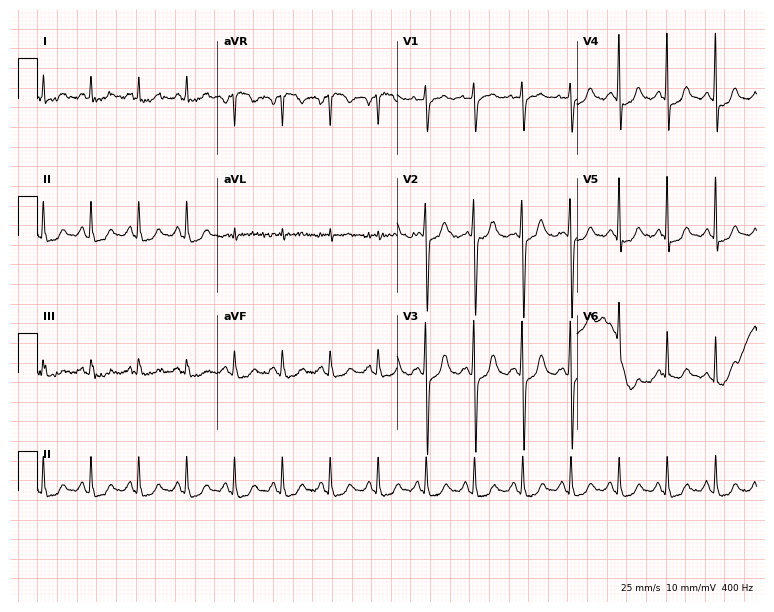
12-lead ECG from a female patient, 78 years old. No first-degree AV block, right bundle branch block, left bundle branch block, sinus bradycardia, atrial fibrillation or sinus tachycardia recorded for this tracing. Other findings, if any, are not listed.